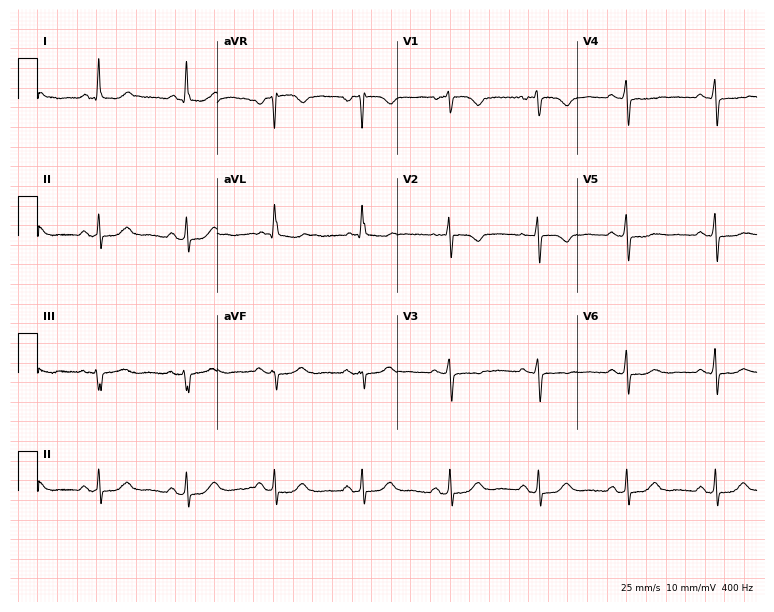
12-lead ECG (7.3-second recording at 400 Hz) from a 68-year-old female patient. Labelled as a normal ECG.